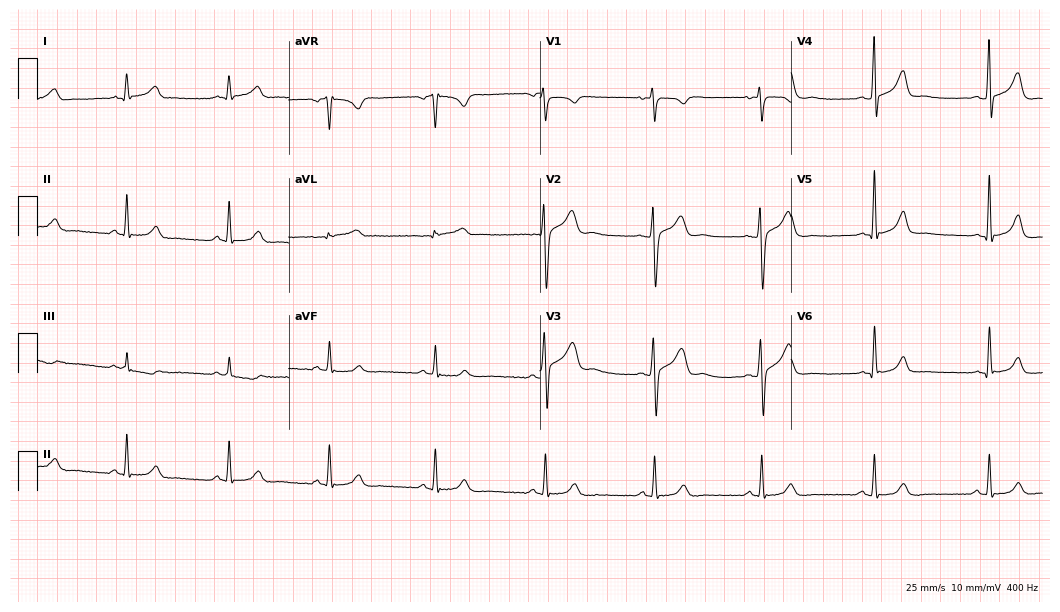
12-lead ECG from a 38-year-old male (10.2-second recording at 400 Hz). Recorded interpretation: within normal limits.